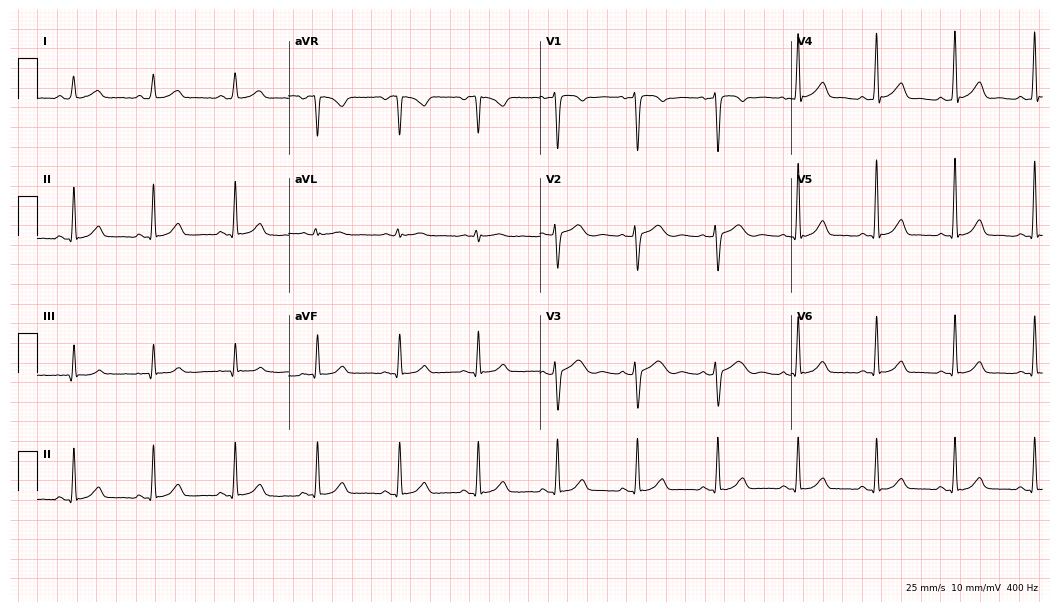
12-lead ECG from a female patient, 39 years old. Recorded interpretation: within normal limits.